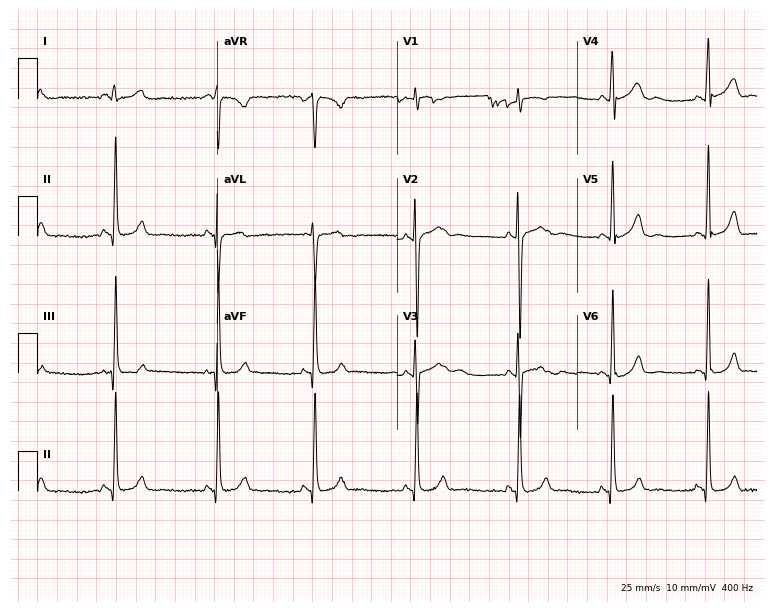
Electrocardiogram, an 18-year-old woman. Of the six screened findings (first-degree AV block, right bundle branch block (RBBB), left bundle branch block (LBBB), sinus bradycardia, atrial fibrillation (AF), sinus tachycardia), none is recorded.